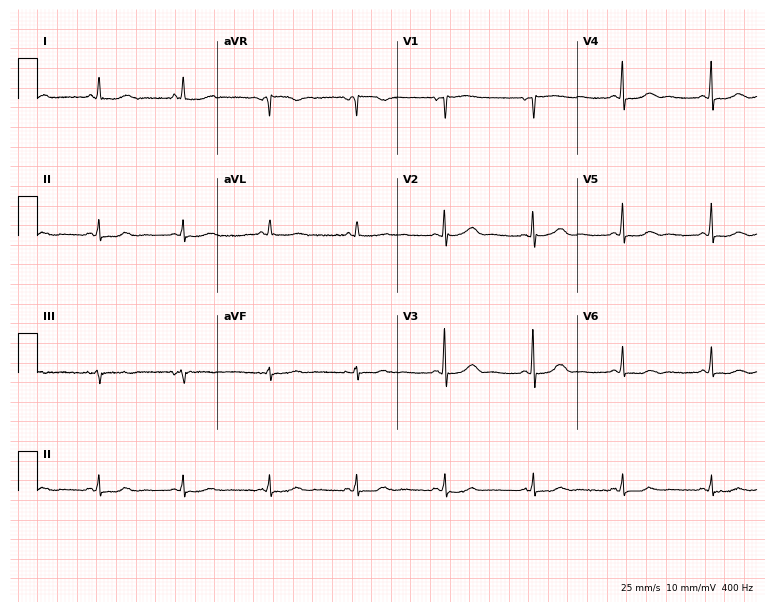
12-lead ECG (7.3-second recording at 400 Hz) from a woman, 80 years old. Labelled as a normal ECG.